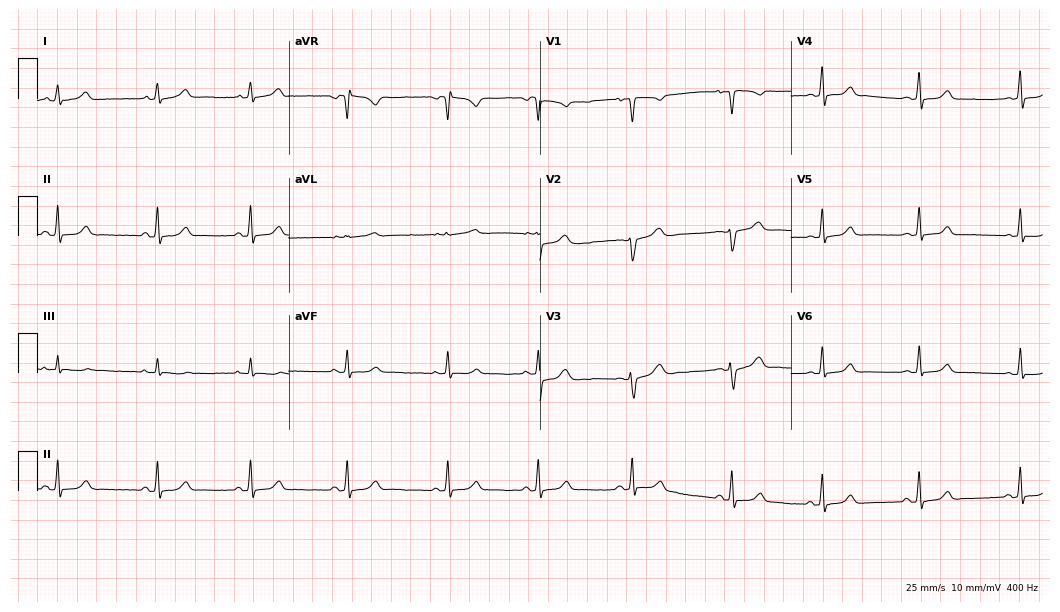
Resting 12-lead electrocardiogram. Patient: a 28-year-old woman. Read as a normal ECG.